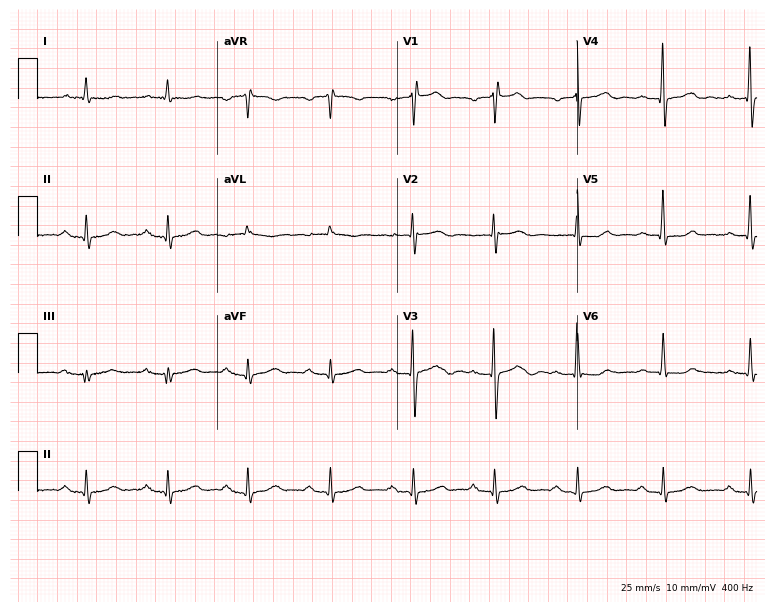
Resting 12-lead electrocardiogram (7.3-second recording at 400 Hz). Patient: a male, 75 years old. None of these six findings is recorded: first-degree AV block, right bundle branch block (RBBB), left bundle branch block (LBBB), sinus bradycardia, atrial fibrillation (AF), sinus tachycardia. Findings outside these six are not listed.